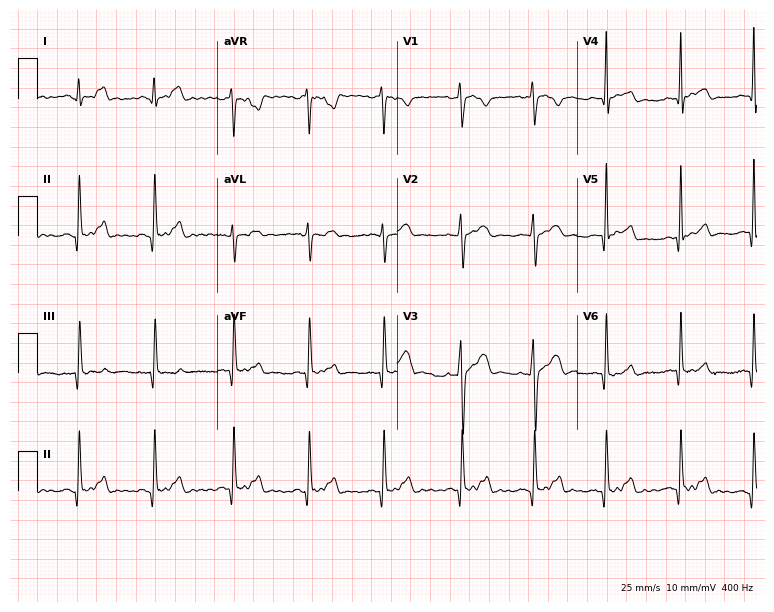
Resting 12-lead electrocardiogram. Patient: a 20-year-old man. Read as a normal ECG.